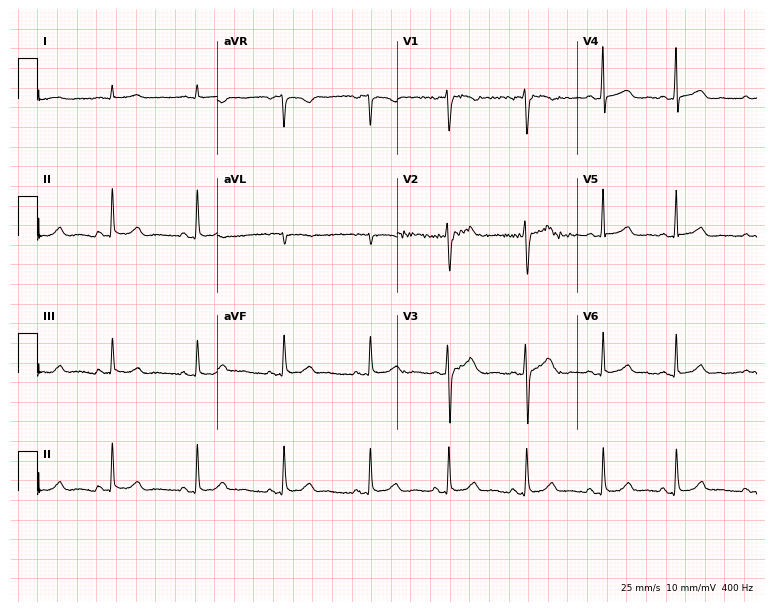
Electrocardiogram, a woman, 24 years old. Overall reading on record: normal ECG.